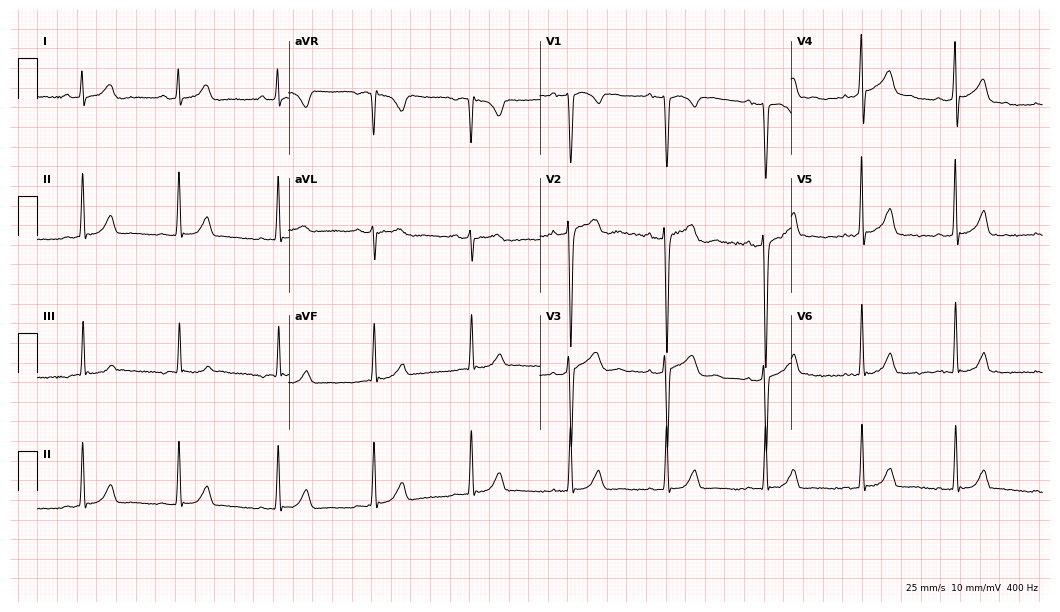
12-lead ECG from a 20-year-old male. Screened for six findings — first-degree AV block, right bundle branch block (RBBB), left bundle branch block (LBBB), sinus bradycardia, atrial fibrillation (AF), sinus tachycardia — none is recorded. Findings outside these six are not listed.